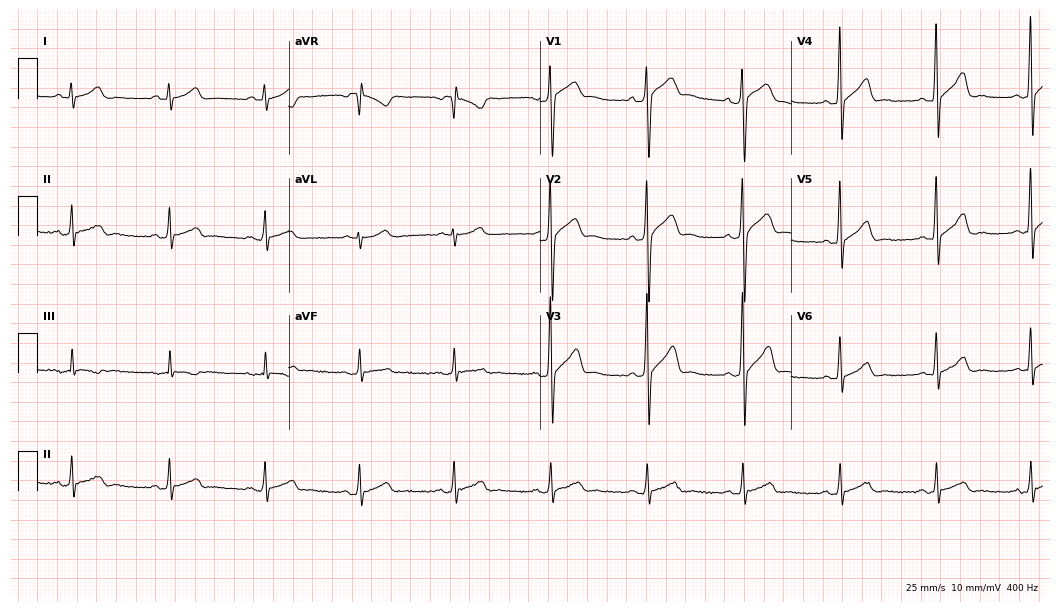
12-lead ECG from a 48-year-old man. Screened for six findings — first-degree AV block, right bundle branch block, left bundle branch block, sinus bradycardia, atrial fibrillation, sinus tachycardia — none is recorded.